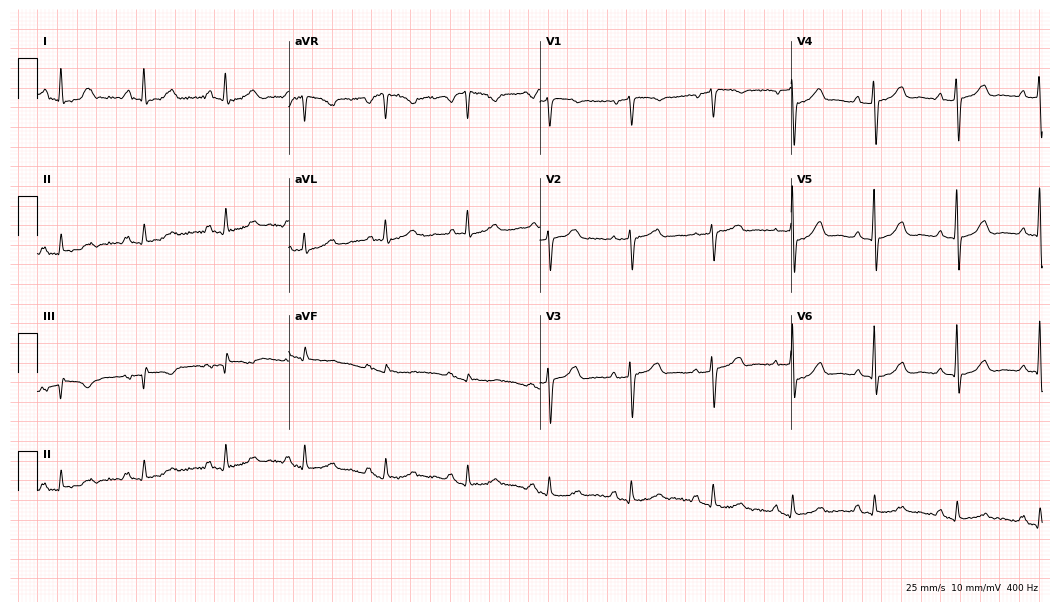
12-lead ECG from a 78-year-old female patient. Labelled as a normal ECG.